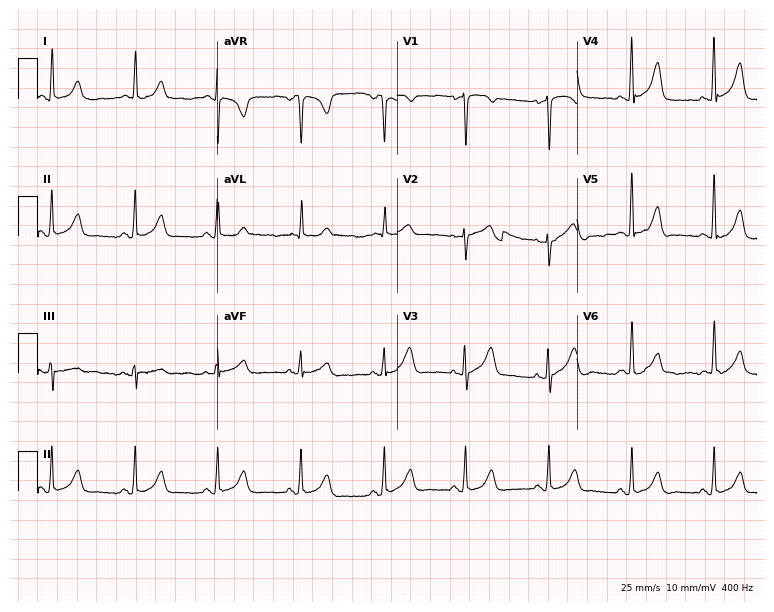
12-lead ECG from a 60-year-old woman. Labelled as a normal ECG.